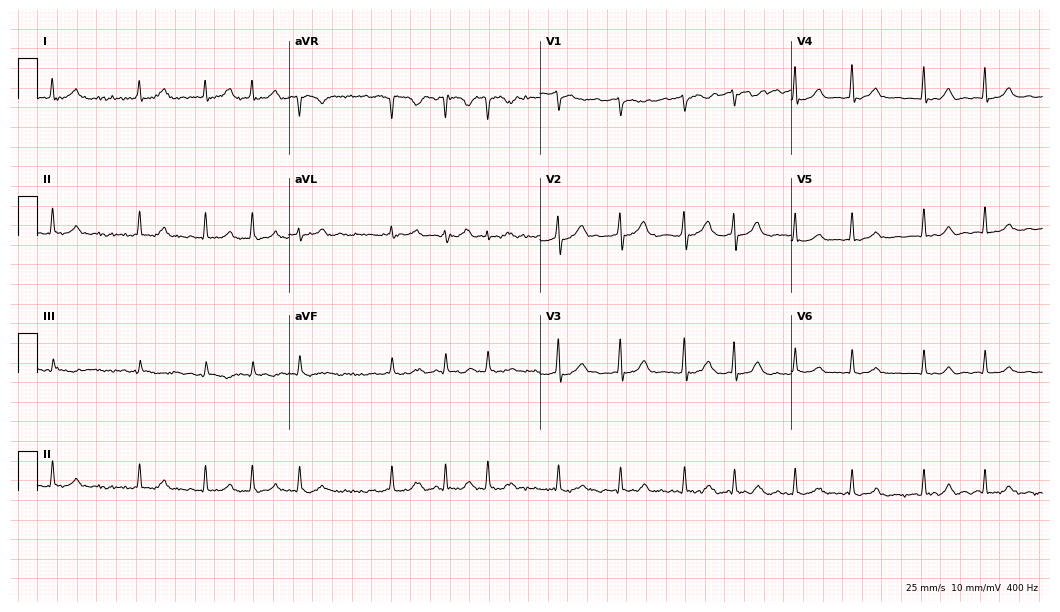
Resting 12-lead electrocardiogram. Patient: a female, 58 years old. The tracing shows atrial fibrillation.